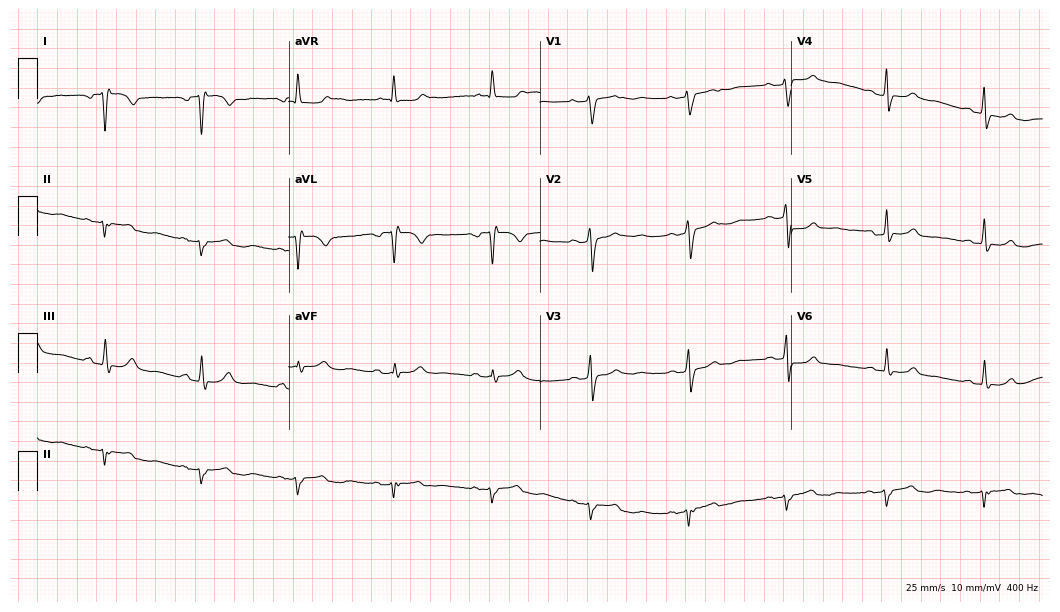
Standard 12-lead ECG recorded from a female patient, 65 years old (10.2-second recording at 400 Hz). None of these six findings is recorded: first-degree AV block, right bundle branch block (RBBB), left bundle branch block (LBBB), sinus bradycardia, atrial fibrillation (AF), sinus tachycardia.